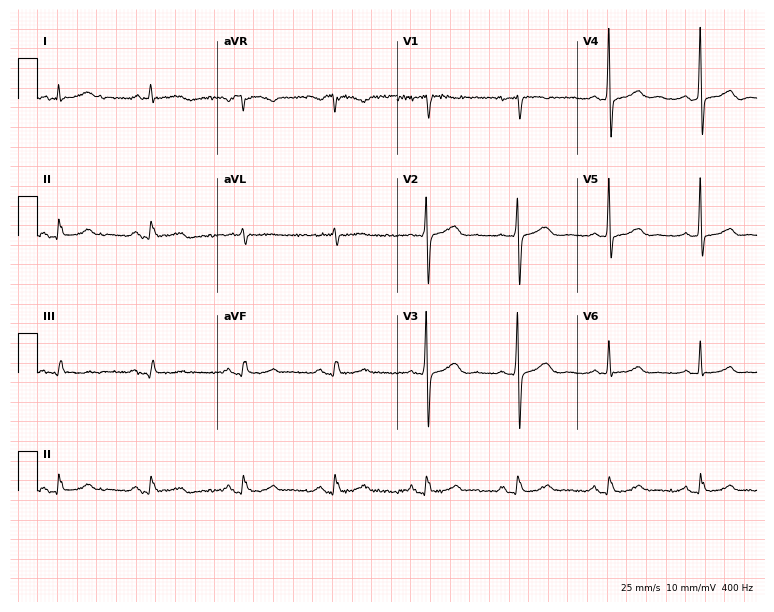
Standard 12-lead ECG recorded from a 67-year-old male patient (7.3-second recording at 400 Hz). None of these six findings is recorded: first-degree AV block, right bundle branch block (RBBB), left bundle branch block (LBBB), sinus bradycardia, atrial fibrillation (AF), sinus tachycardia. Only these six findings were labelled.